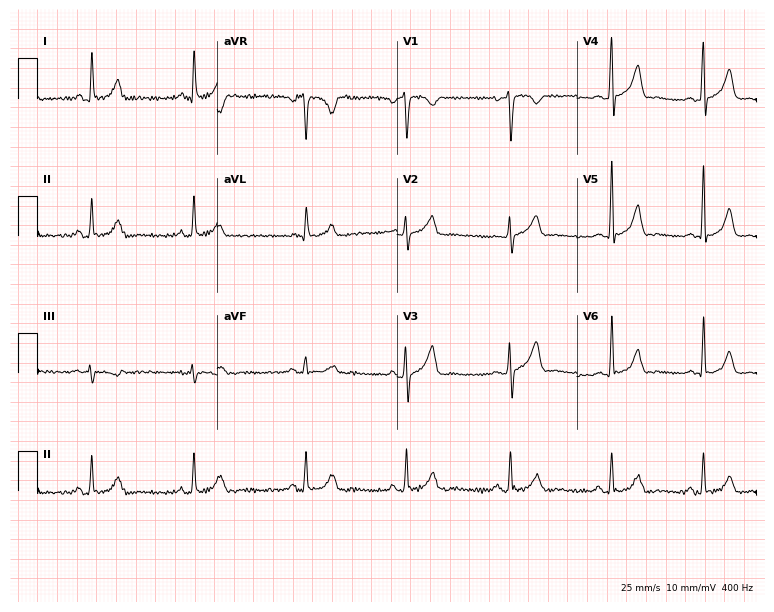
ECG — a 38-year-old woman. Screened for six findings — first-degree AV block, right bundle branch block, left bundle branch block, sinus bradycardia, atrial fibrillation, sinus tachycardia — none is recorded.